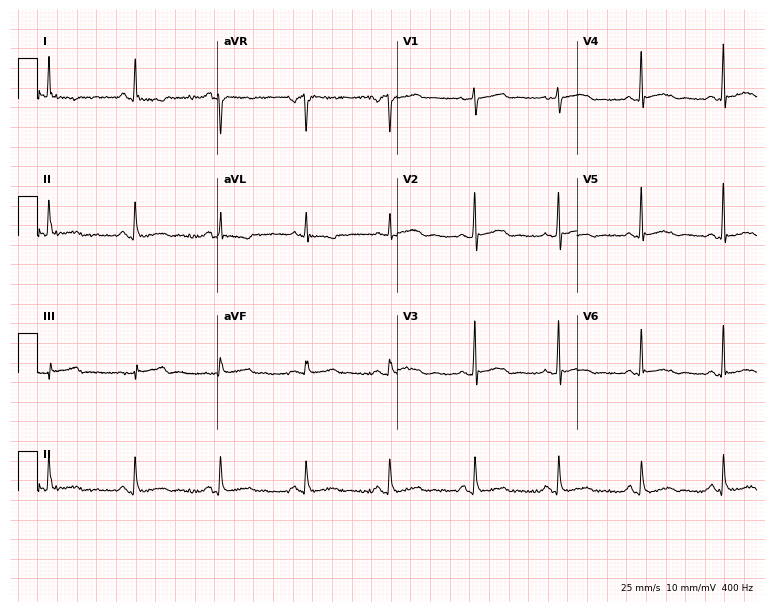
12-lead ECG from a female patient, 55 years old (7.3-second recording at 400 Hz). No first-degree AV block, right bundle branch block (RBBB), left bundle branch block (LBBB), sinus bradycardia, atrial fibrillation (AF) or sinus tachycardia recorded for this tracing.